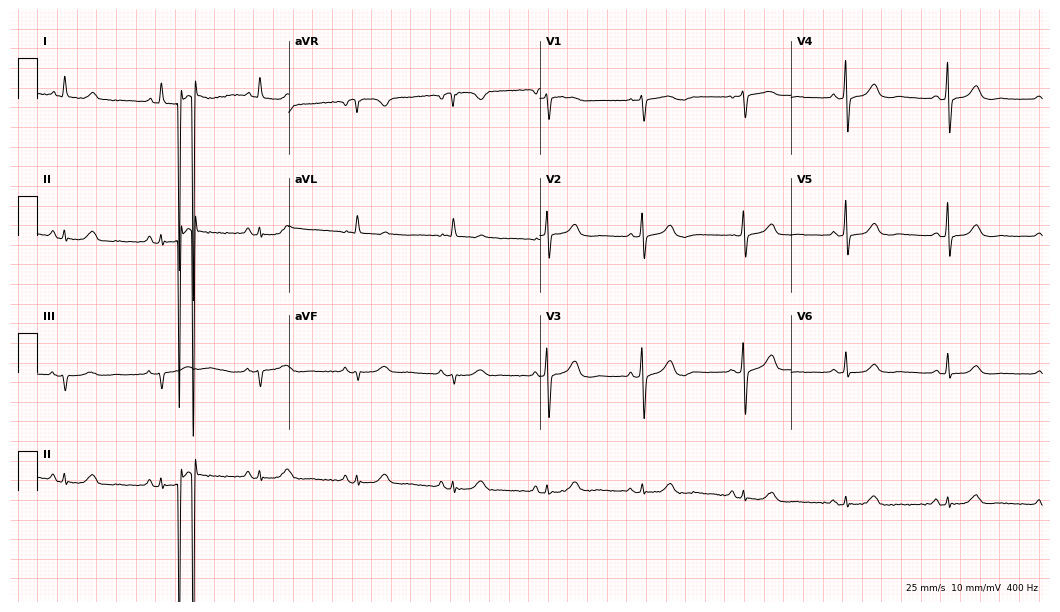
ECG (10.2-second recording at 400 Hz) — an 80-year-old woman. Labelled as a normal ECG.